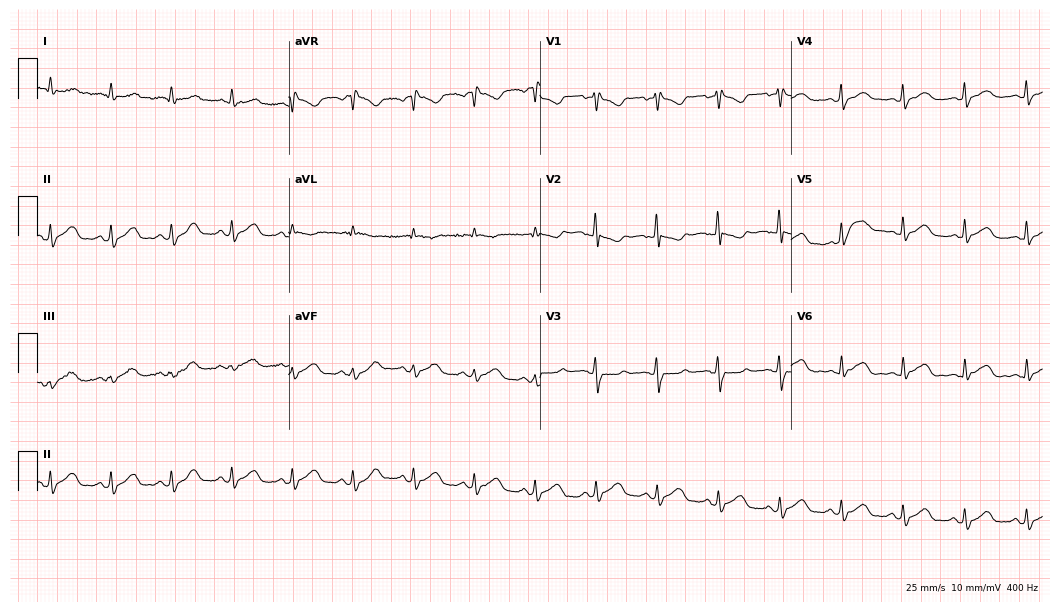
Electrocardiogram, a woman, 35 years old. Of the six screened findings (first-degree AV block, right bundle branch block (RBBB), left bundle branch block (LBBB), sinus bradycardia, atrial fibrillation (AF), sinus tachycardia), none is recorded.